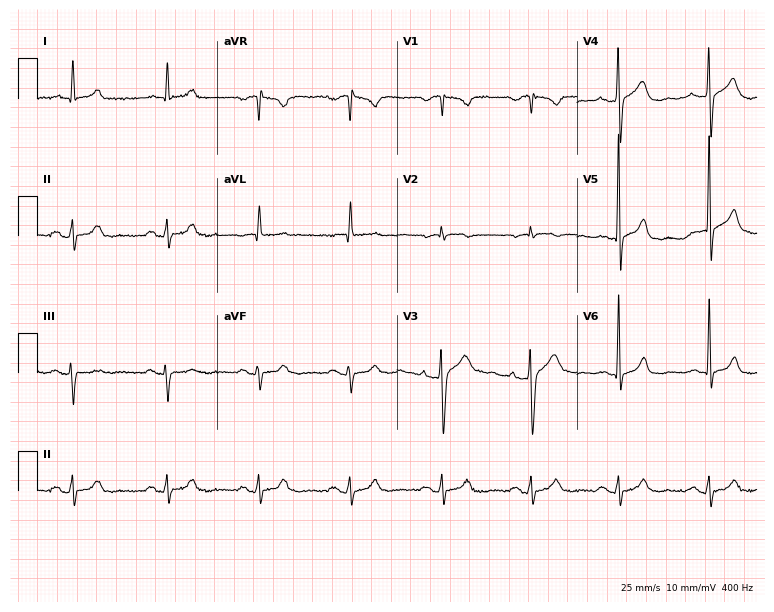
ECG (7.3-second recording at 400 Hz) — a 66-year-old man. Screened for six findings — first-degree AV block, right bundle branch block, left bundle branch block, sinus bradycardia, atrial fibrillation, sinus tachycardia — none is recorded.